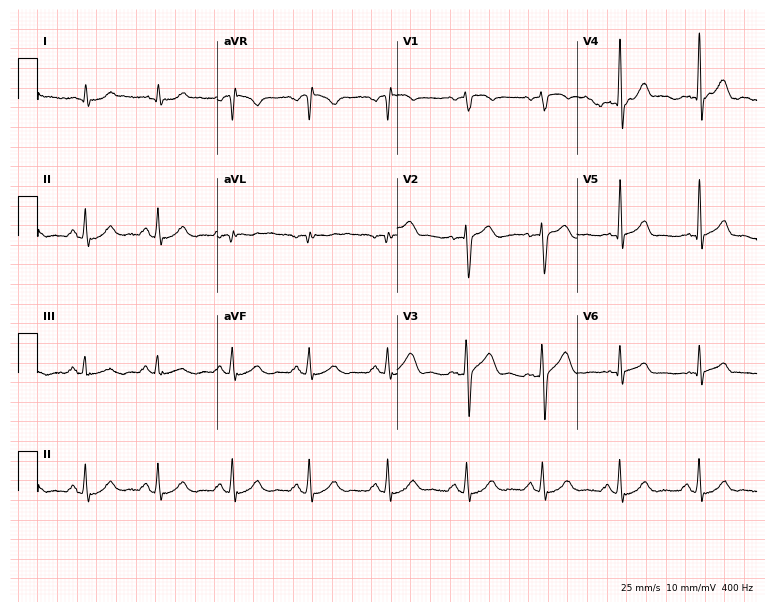
Electrocardiogram (7.3-second recording at 400 Hz), a man, 59 years old. Overall reading on record: normal ECG.